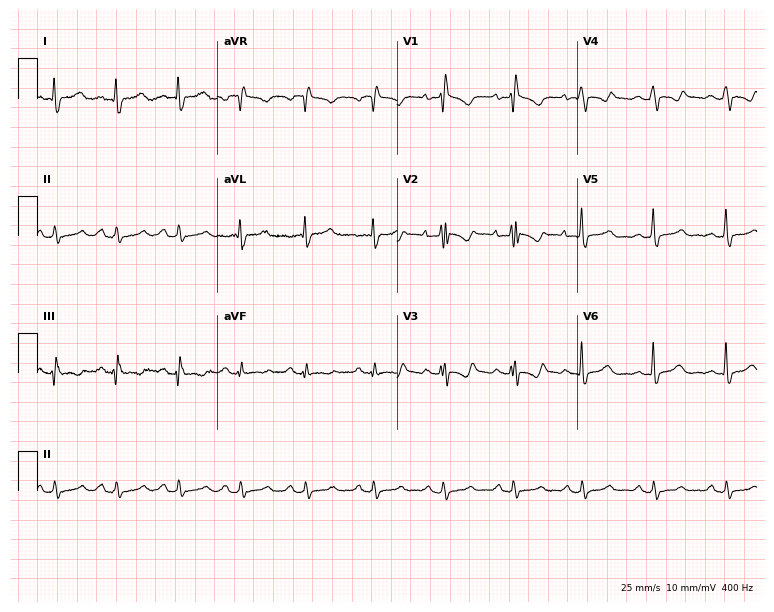
Electrocardiogram, a 32-year-old woman. Of the six screened findings (first-degree AV block, right bundle branch block (RBBB), left bundle branch block (LBBB), sinus bradycardia, atrial fibrillation (AF), sinus tachycardia), none is recorded. Other findings, if any, are not listed.